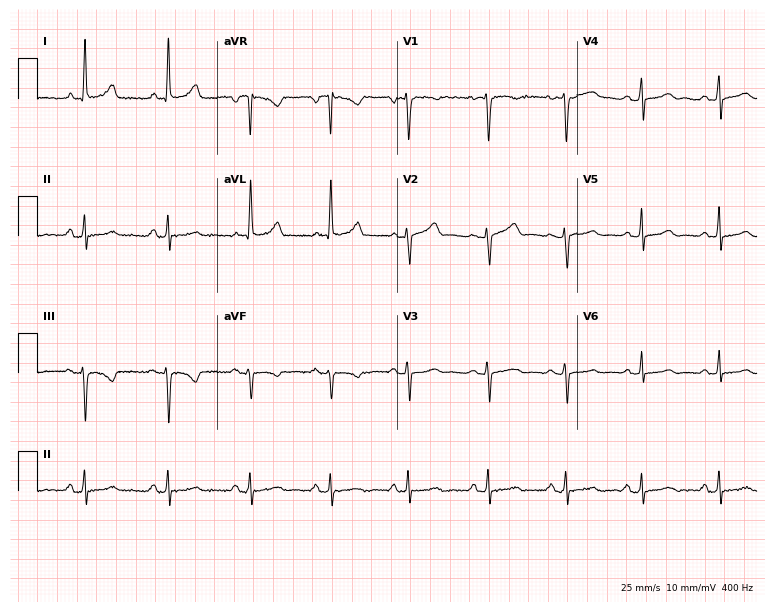
Resting 12-lead electrocardiogram (7.3-second recording at 400 Hz). Patient: a 39-year-old woman. None of these six findings is recorded: first-degree AV block, right bundle branch block, left bundle branch block, sinus bradycardia, atrial fibrillation, sinus tachycardia. Only these six findings were labelled.